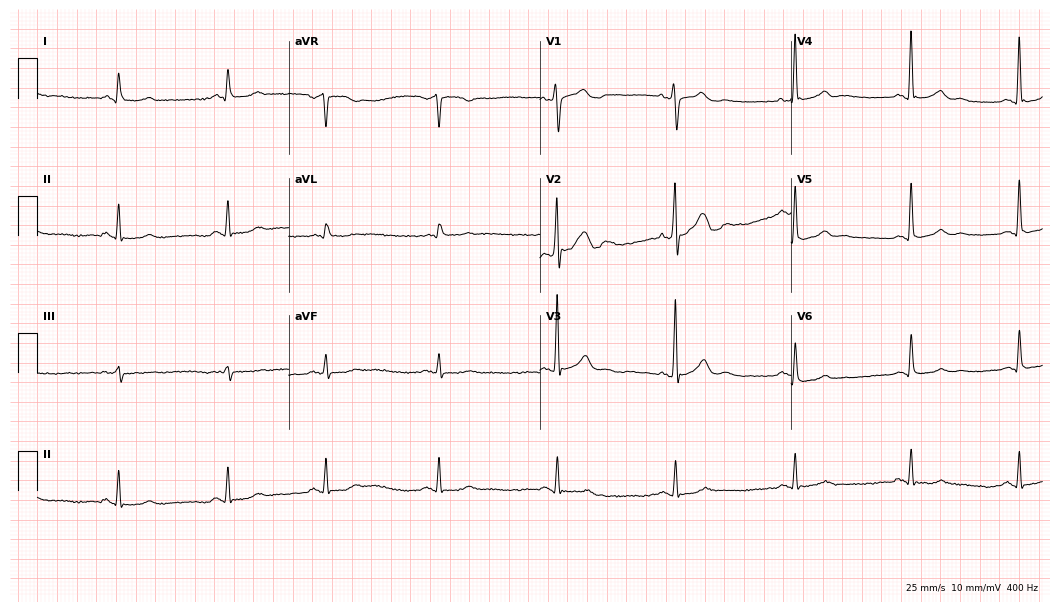
12-lead ECG (10.2-second recording at 400 Hz) from a 65-year-old female patient. Labelled as a normal ECG.